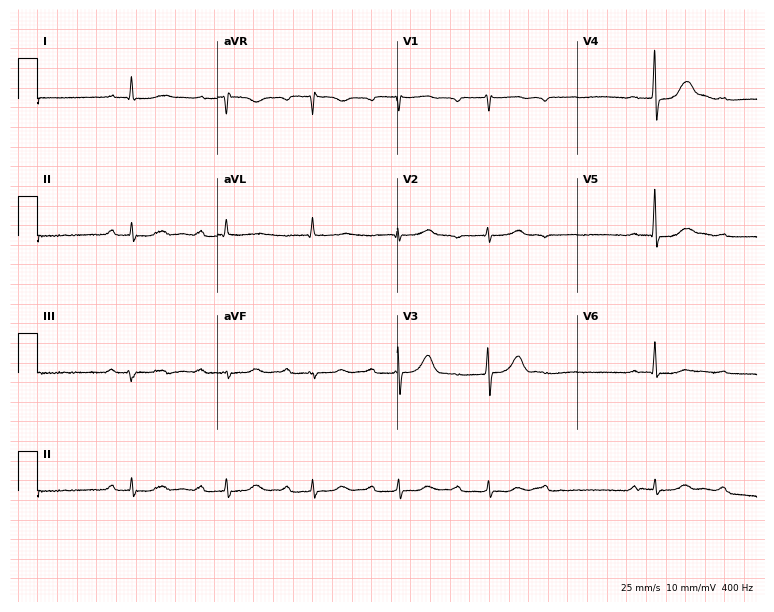
ECG (7.3-second recording at 400 Hz) — a male, 73 years old. Findings include first-degree AV block.